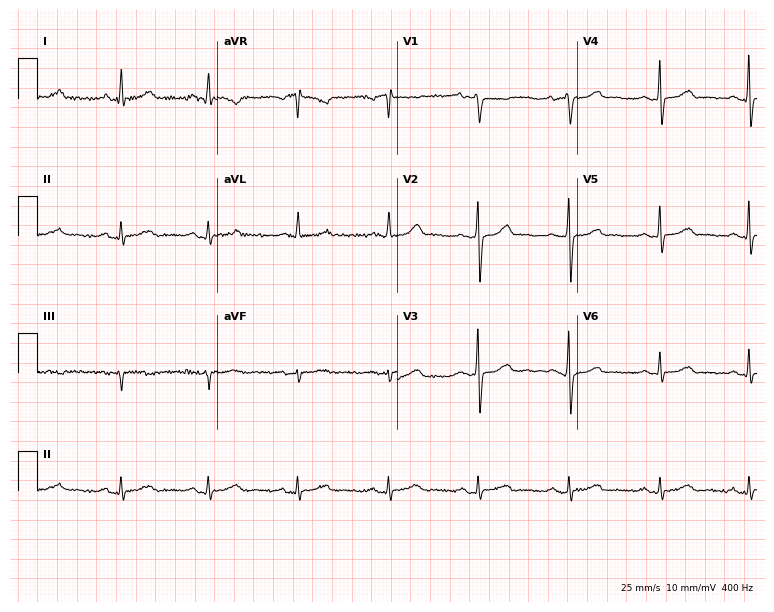
Electrocardiogram, a woman, 53 years old. Overall reading on record: normal ECG.